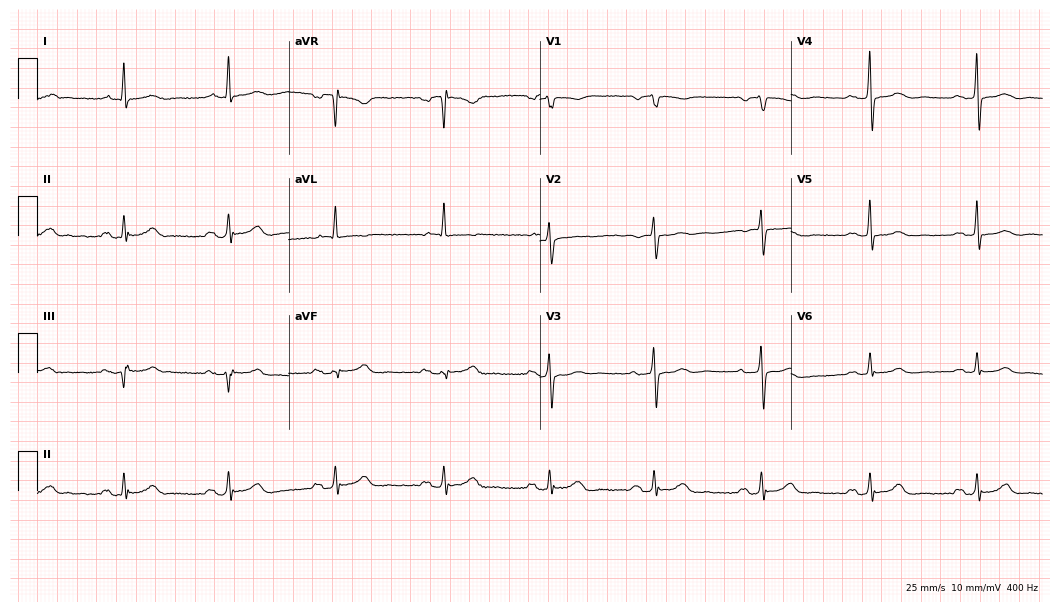
Electrocardiogram, a female patient, 73 years old. Of the six screened findings (first-degree AV block, right bundle branch block, left bundle branch block, sinus bradycardia, atrial fibrillation, sinus tachycardia), none is recorded. Only these six findings were labelled.